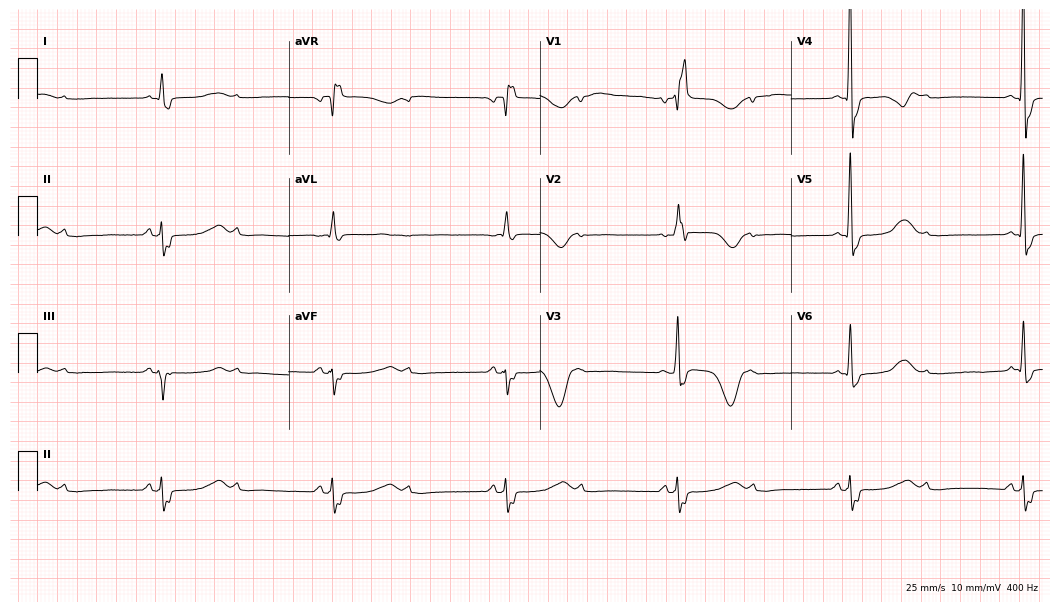
Resting 12-lead electrocardiogram. Patient: a female, 67 years old. The tracing shows right bundle branch block, sinus bradycardia (a sinus rate of 50 beats per minute or less).